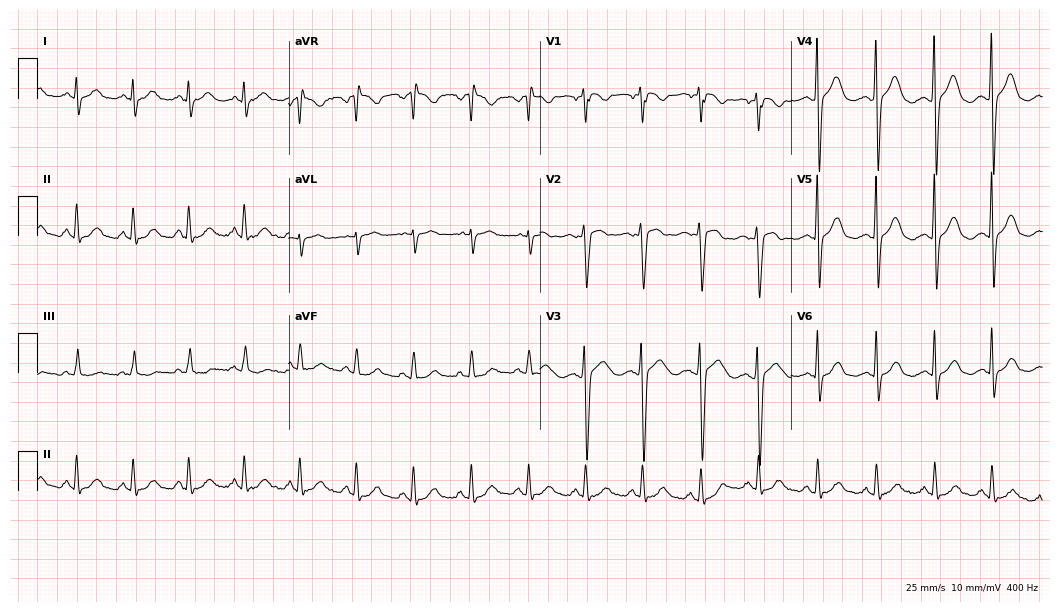
ECG — a female, 49 years old. Screened for six findings — first-degree AV block, right bundle branch block (RBBB), left bundle branch block (LBBB), sinus bradycardia, atrial fibrillation (AF), sinus tachycardia — none is recorded. Only these six findings were labelled.